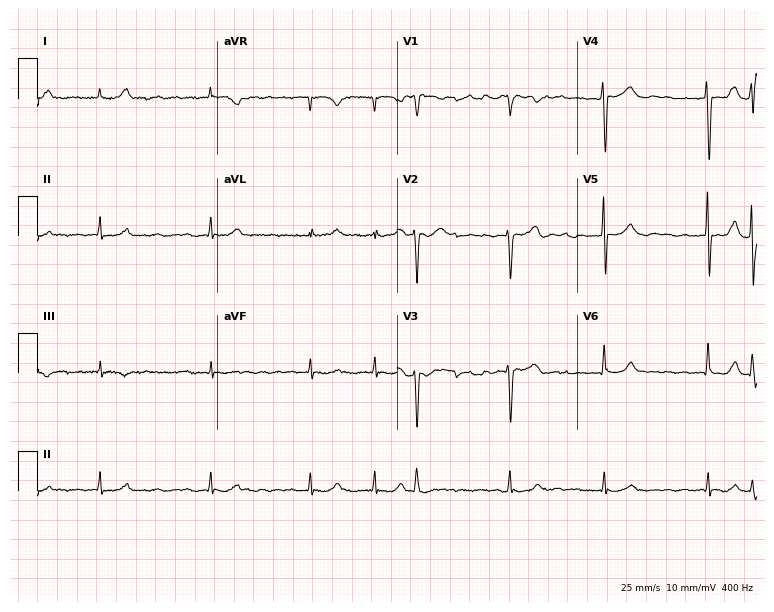
12-lead ECG (7.3-second recording at 400 Hz) from an 80-year-old woman. Findings include atrial fibrillation.